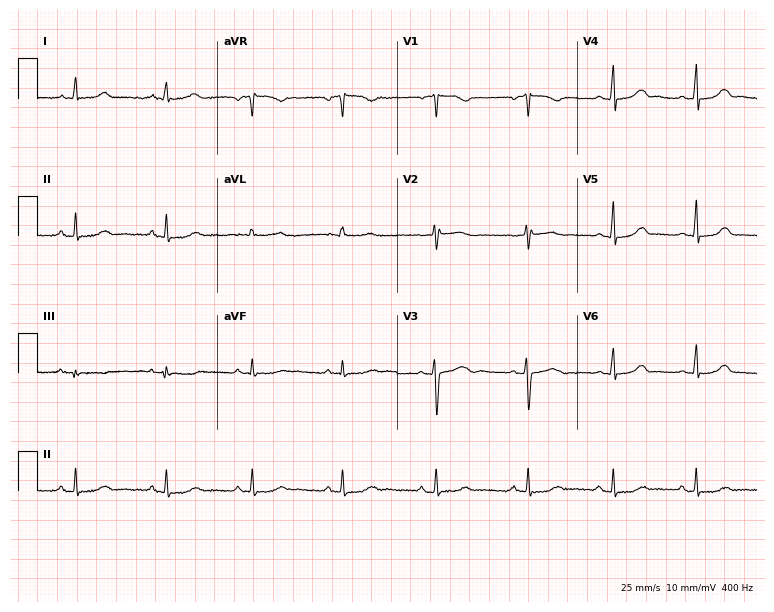
12-lead ECG from a 47-year-old woman (7.3-second recording at 400 Hz). Recorded interpretation: within normal limits.